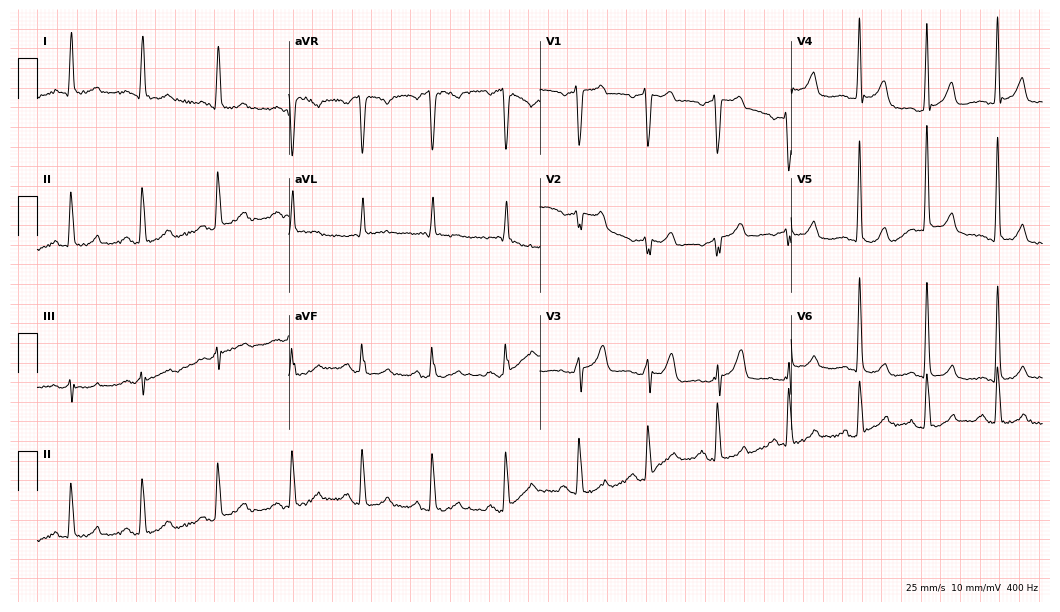
Resting 12-lead electrocardiogram (10.2-second recording at 400 Hz). Patient: a female, 59 years old. Read as a normal ECG.